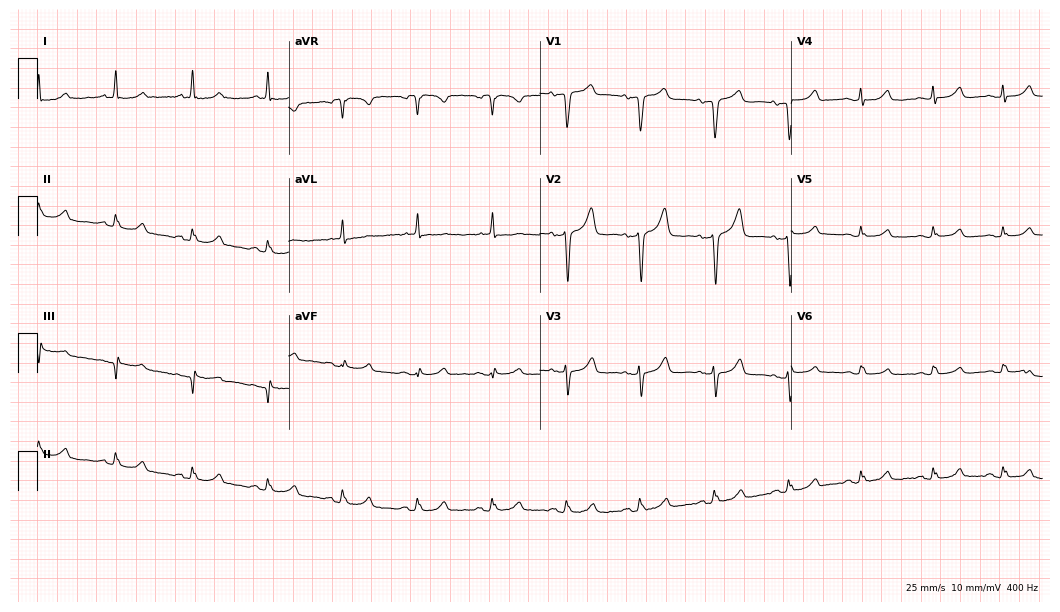
Resting 12-lead electrocardiogram. Patient: a 67-year-old female. Read as a normal ECG.